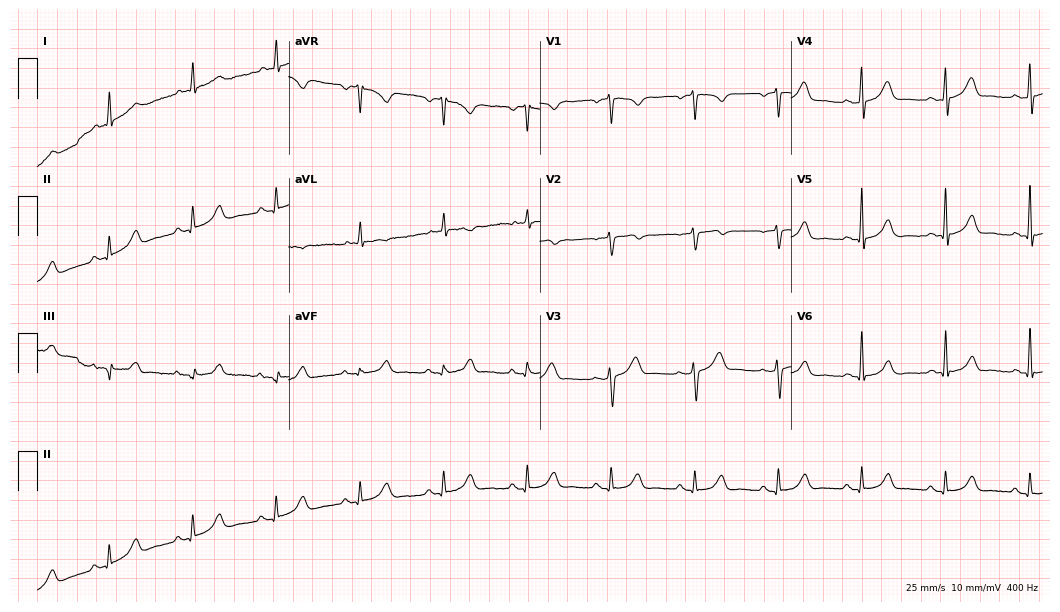
12-lead ECG (10.2-second recording at 400 Hz) from a male, 68 years old. Labelled as a normal ECG.